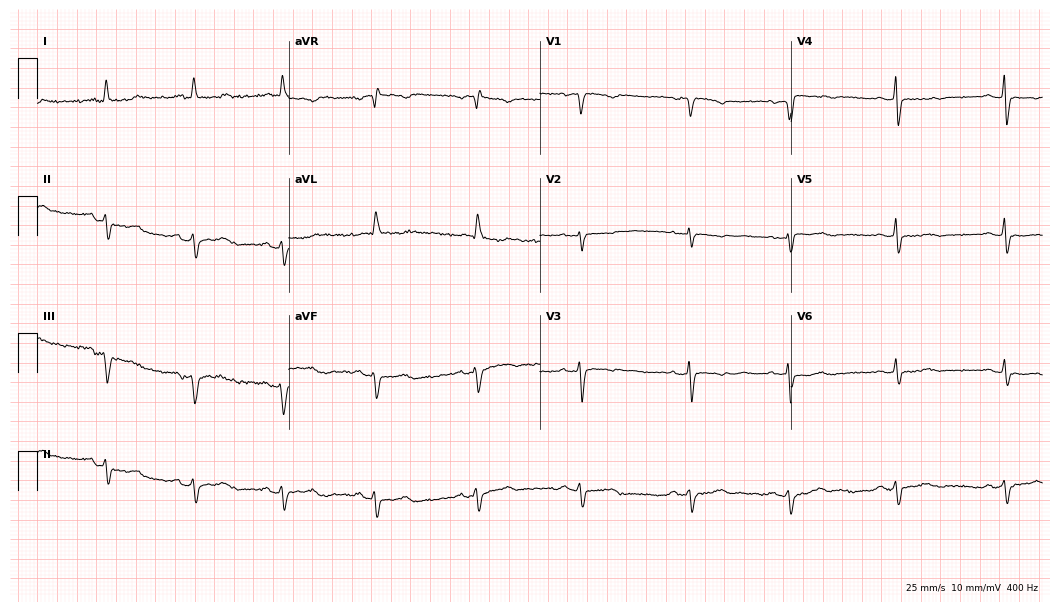
12-lead ECG from a 75-year-old male. Screened for six findings — first-degree AV block, right bundle branch block (RBBB), left bundle branch block (LBBB), sinus bradycardia, atrial fibrillation (AF), sinus tachycardia — none is recorded. Only these six findings were labelled.